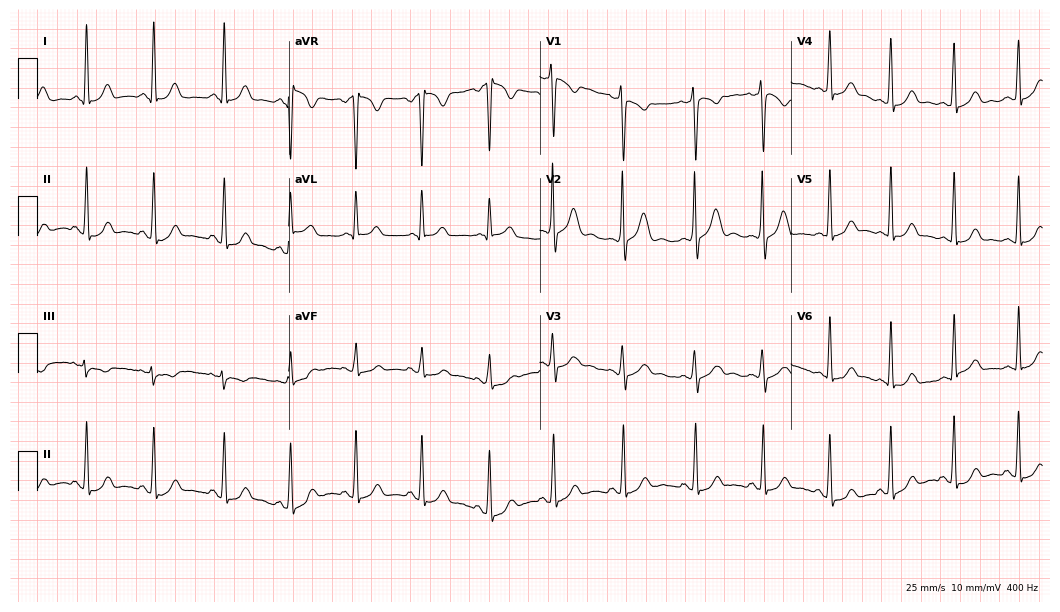
12-lead ECG from a 21-year-old female. Recorded interpretation: within normal limits.